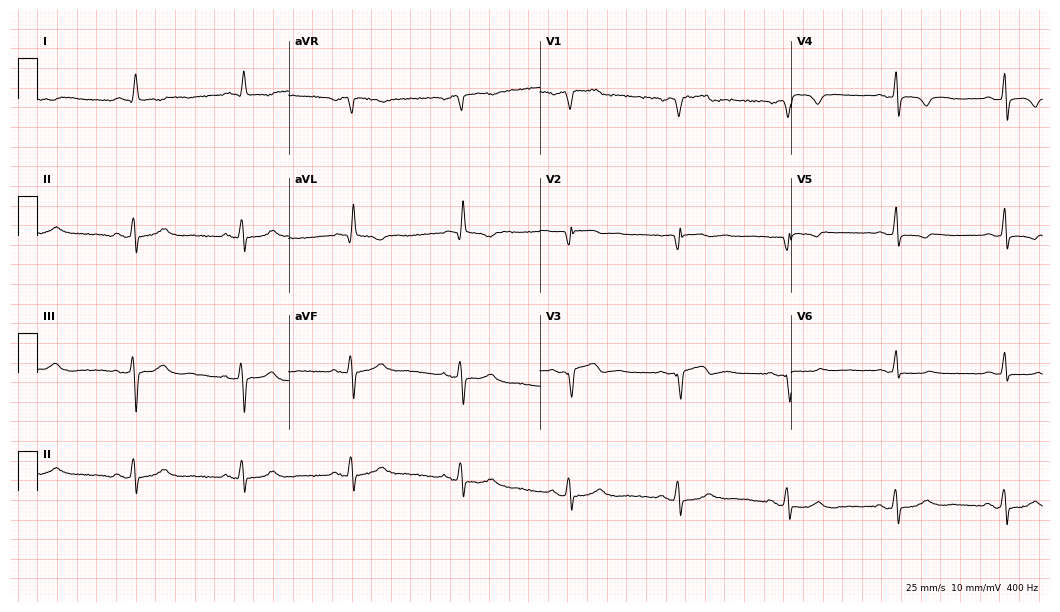
ECG — a male, 69 years old. Screened for six findings — first-degree AV block, right bundle branch block, left bundle branch block, sinus bradycardia, atrial fibrillation, sinus tachycardia — none is recorded. Other findings, if any, are not listed.